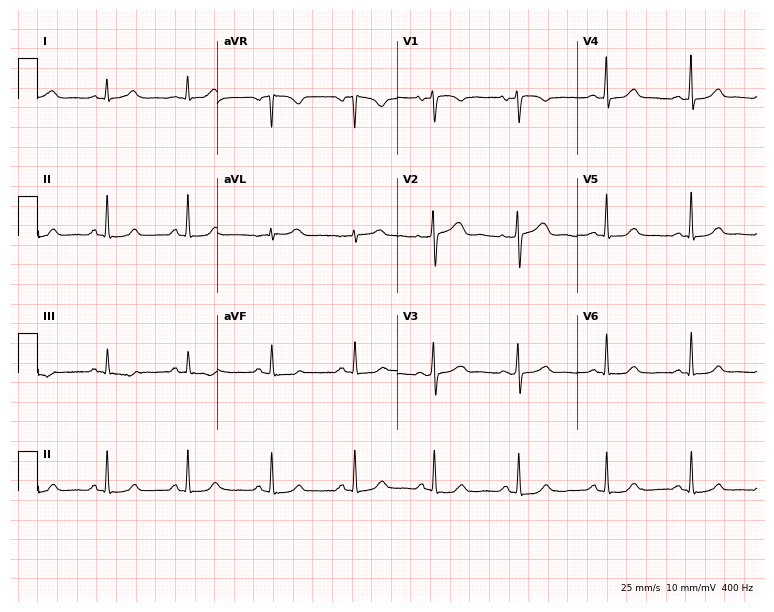
Standard 12-lead ECG recorded from a woman, 42 years old. Read as a normal ECG.